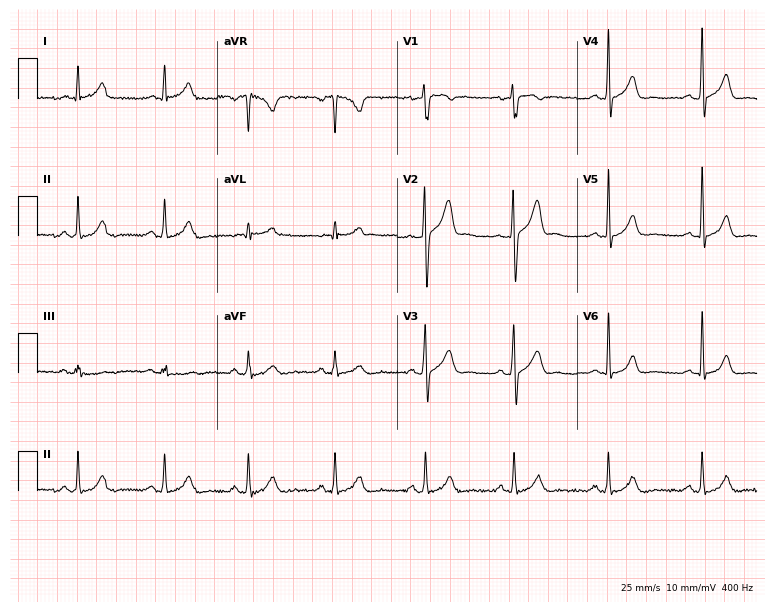
Standard 12-lead ECG recorded from a 28-year-old male. Read as a normal ECG.